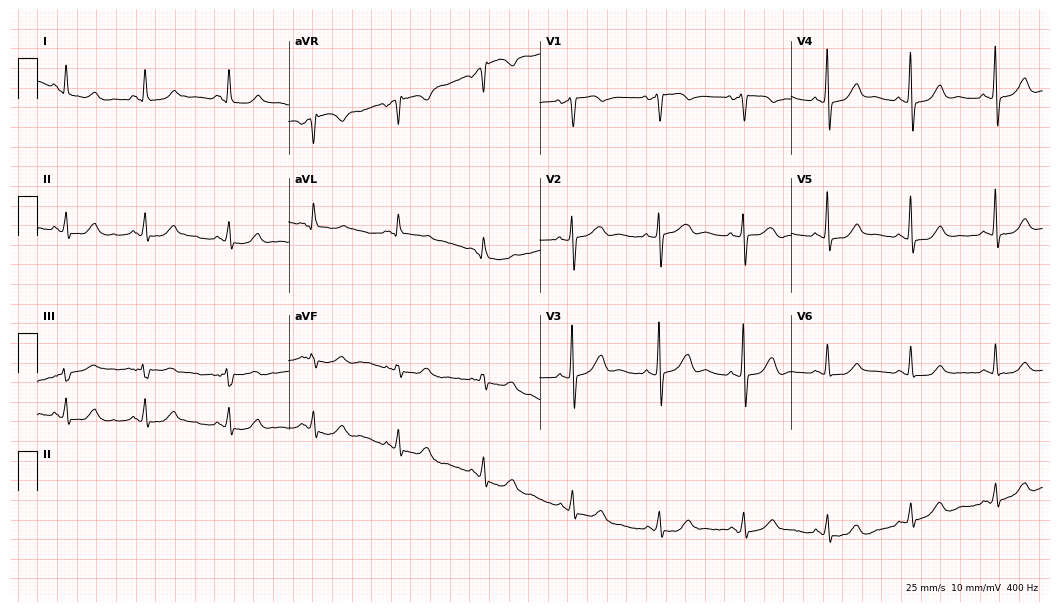
ECG — a female patient, 55 years old. Labelled as a normal ECG.